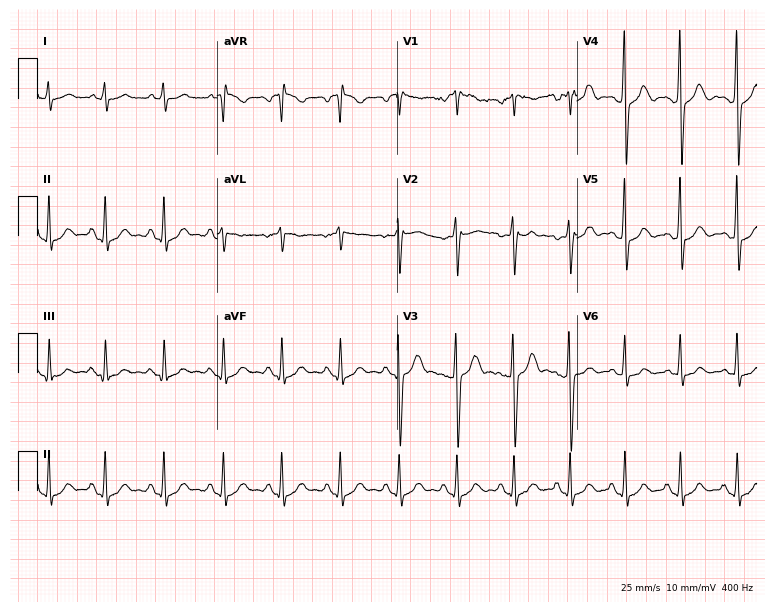
12-lead ECG from a 64-year-old male. Recorded interpretation: within normal limits.